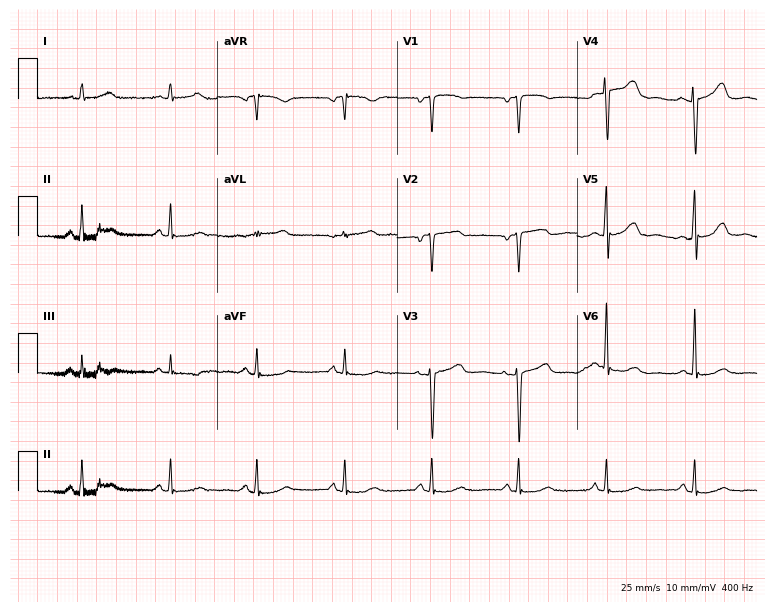
Resting 12-lead electrocardiogram. Patient: a woman, 53 years old. Read as a normal ECG.